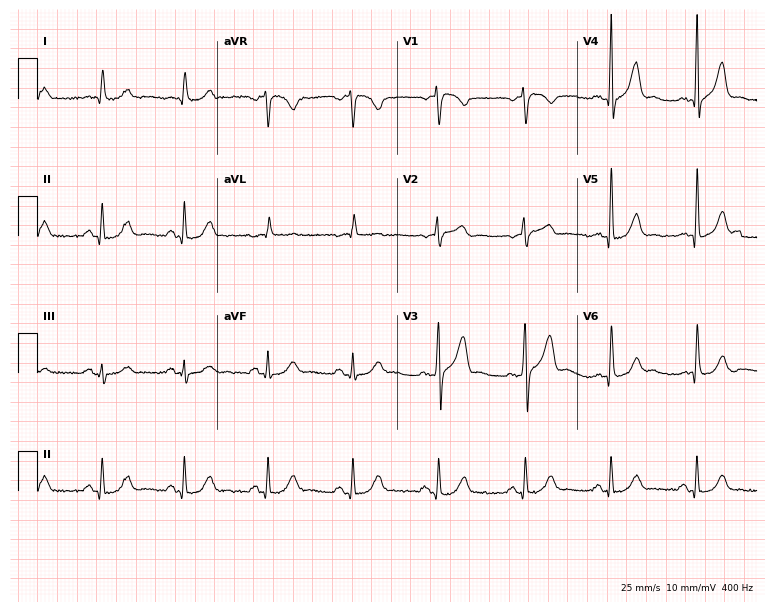
12-lead ECG (7.3-second recording at 400 Hz) from a male patient, 67 years old. Labelled as a normal ECG.